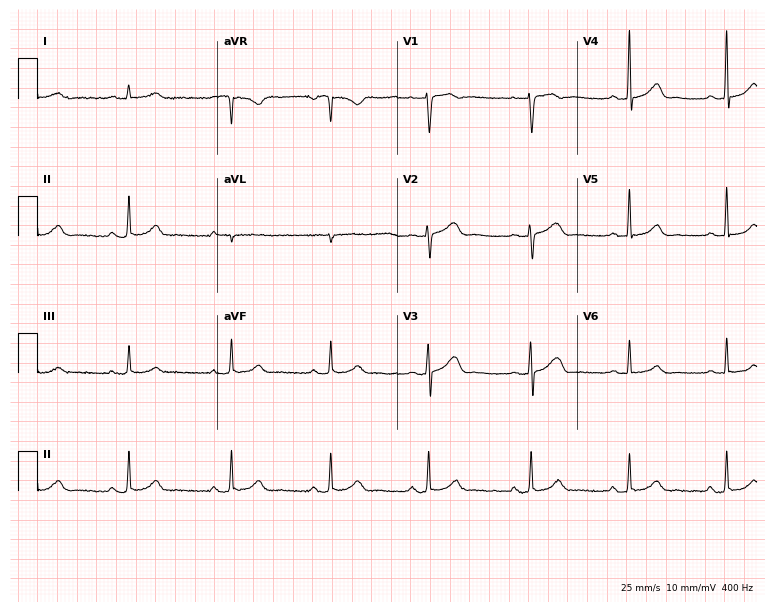
Standard 12-lead ECG recorded from a female, 34 years old (7.3-second recording at 400 Hz). Read as a normal ECG.